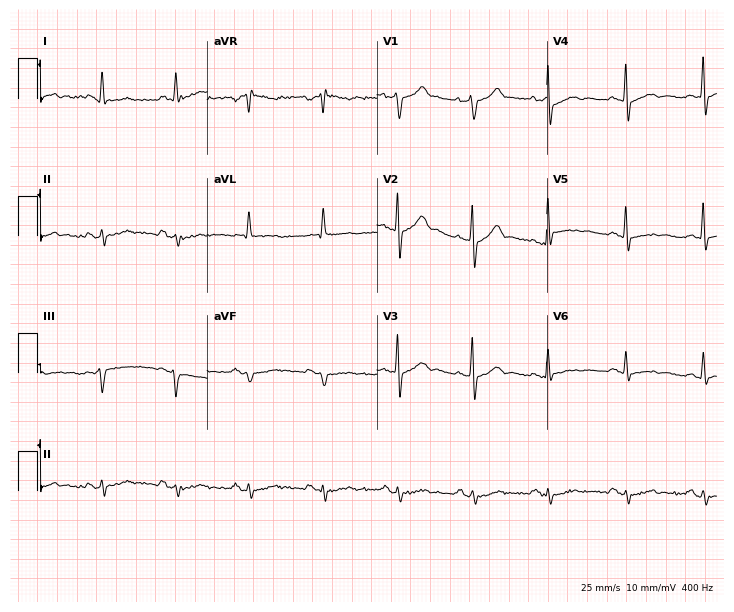
Standard 12-lead ECG recorded from a male, 71 years old. None of these six findings is recorded: first-degree AV block, right bundle branch block, left bundle branch block, sinus bradycardia, atrial fibrillation, sinus tachycardia.